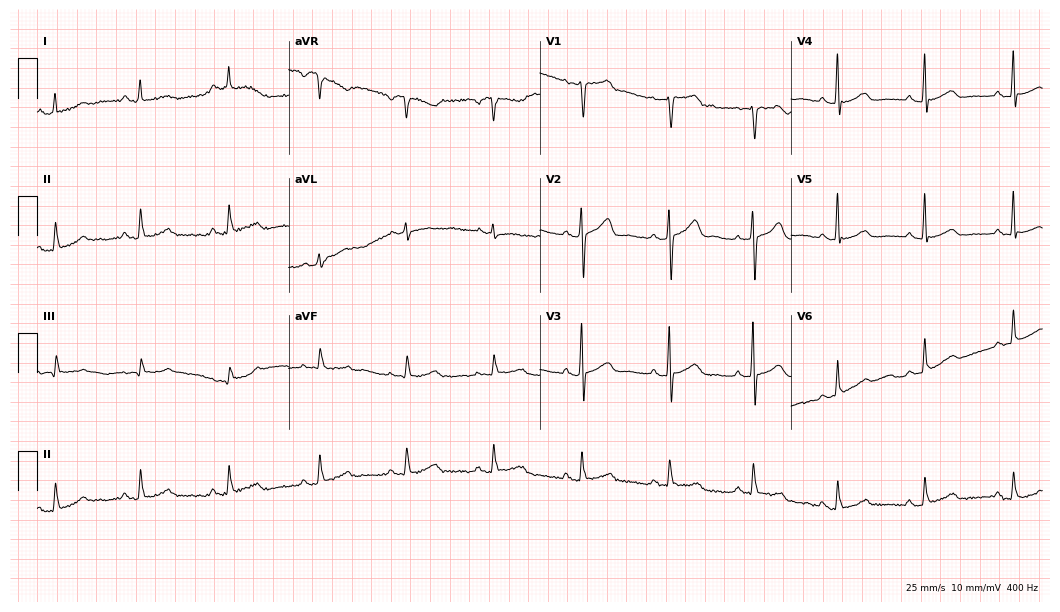
Resting 12-lead electrocardiogram (10.2-second recording at 400 Hz). Patient: a female, 58 years old. None of these six findings is recorded: first-degree AV block, right bundle branch block, left bundle branch block, sinus bradycardia, atrial fibrillation, sinus tachycardia.